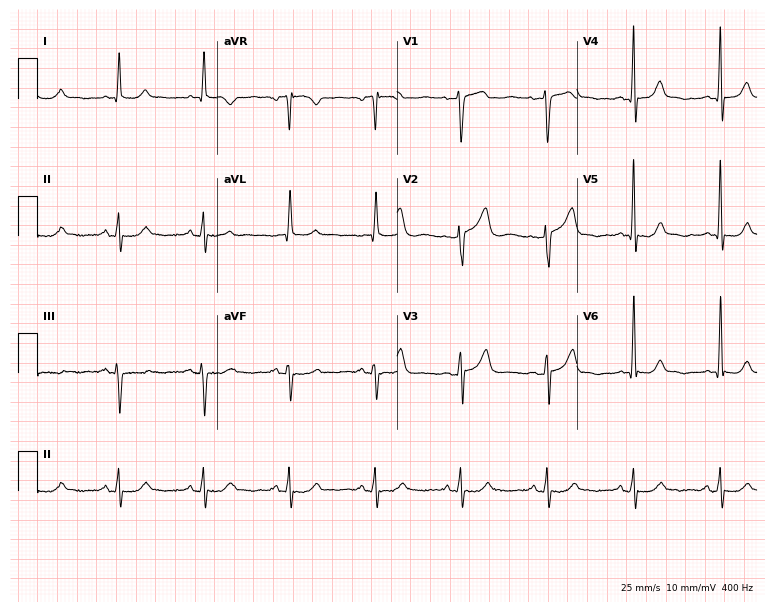
Standard 12-lead ECG recorded from a man, 79 years old. None of these six findings is recorded: first-degree AV block, right bundle branch block, left bundle branch block, sinus bradycardia, atrial fibrillation, sinus tachycardia. Only these six findings were labelled.